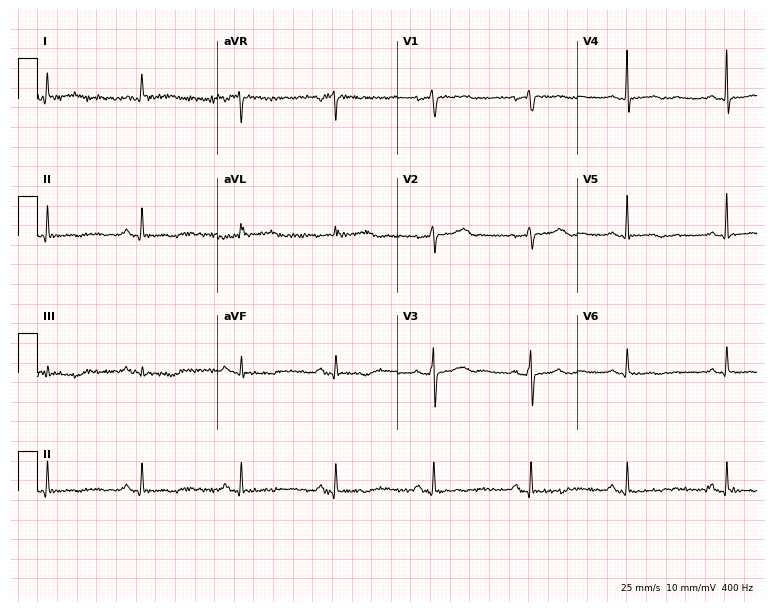
Resting 12-lead electrocardiogram (7.3-second recording at 400 Hz). Patient: a female, 54 years old. None of these six findings is recorded: first-degree AV block, right bundle branch block, left bundle branch block, sinus bradycardia, atrial fibrillation, sinus tachycardia.